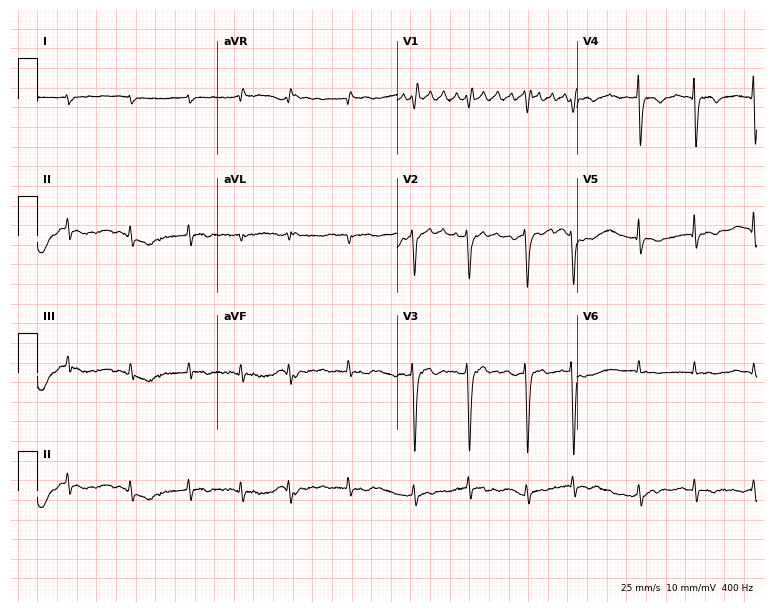
12-lead ECG from a woman, 82 years old. Shows atrial fibrillation (AF).